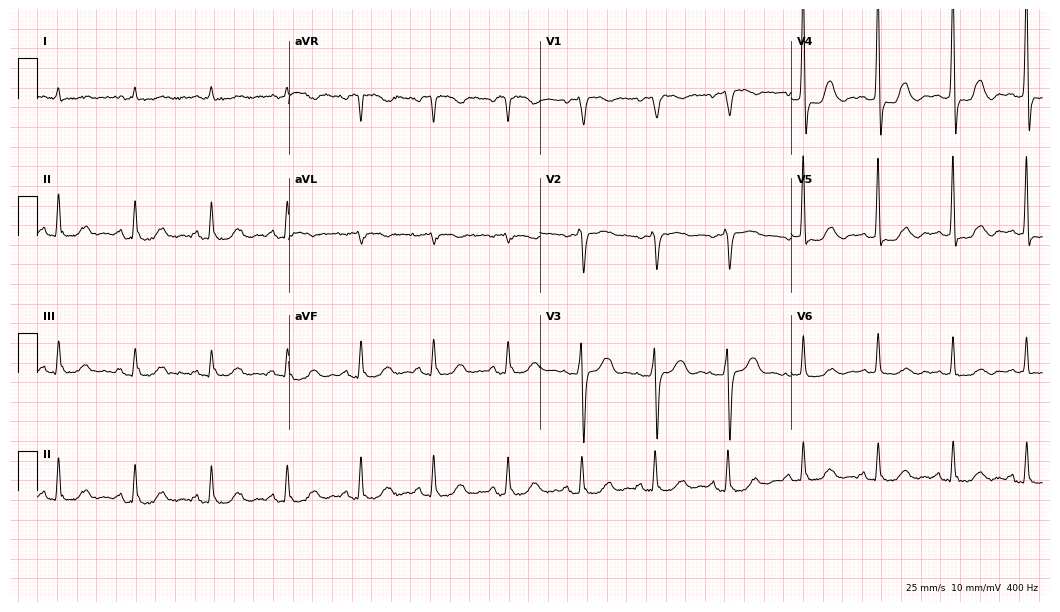
Electrocardiogram, a woman, 85 years old. Of the six screened findings (first-degree AV block, right bundle branch block, left bundle branch block, sinus bradycardia, atrial fibrillation, sinus tachycardia), none is recorded.